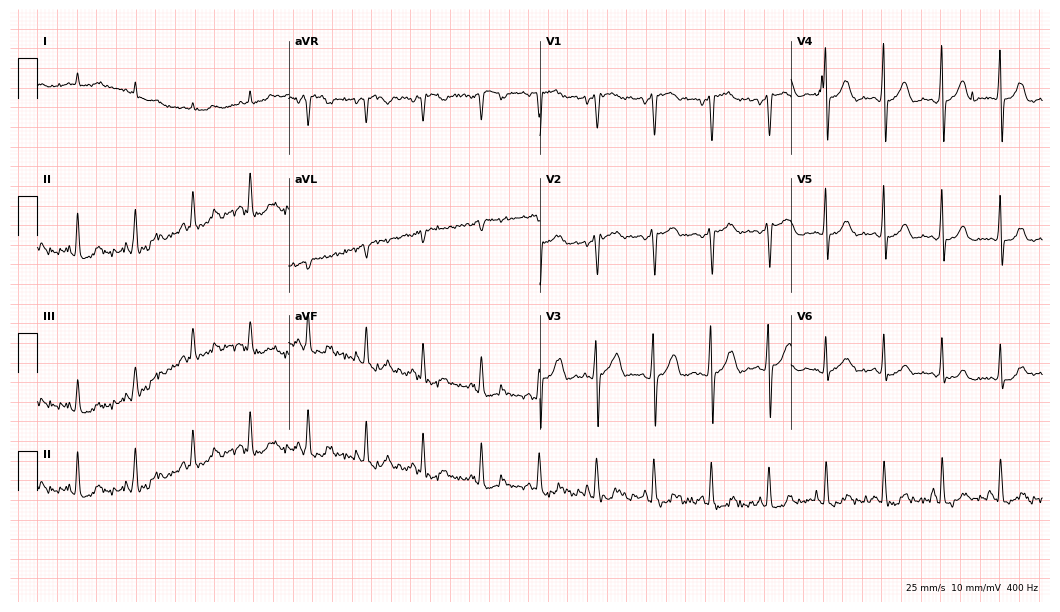
Standard 12-lead ECG recorded from a man, 53 years old. None of these six findings is recorded: first-degree AV block, right bundle branch block, left bundle branch block, sinus bradycardia, atrial fibrillation, sinus tachycardia. Findings outside these six are not listed.